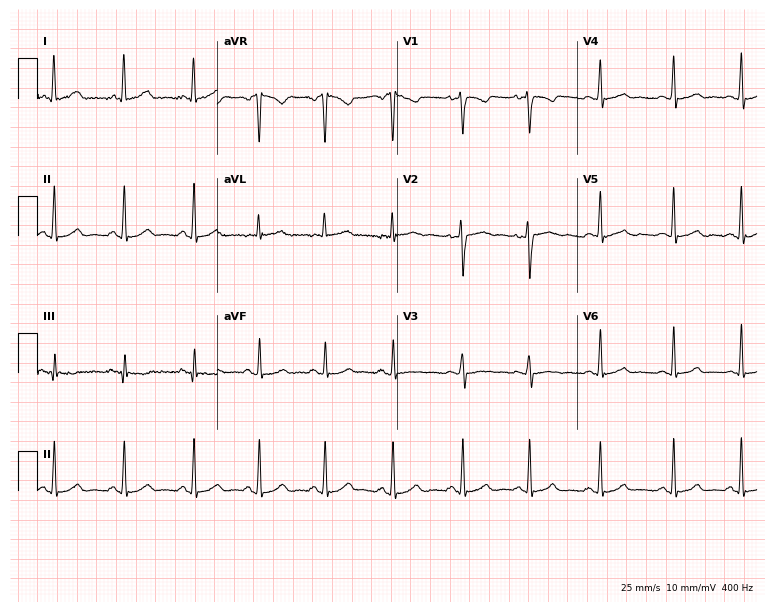
12-lead ECG from a 24-year-old female patient (7.3-second recording at 400 Hz). No first-degree AV block, right bundle branch block (RBBB), left bundle branch block (LBBB), sinus bradycardia, atrial fibrillation (AF) or sinus tachycardia recorded for this tracing. Only these six findings were labelled.